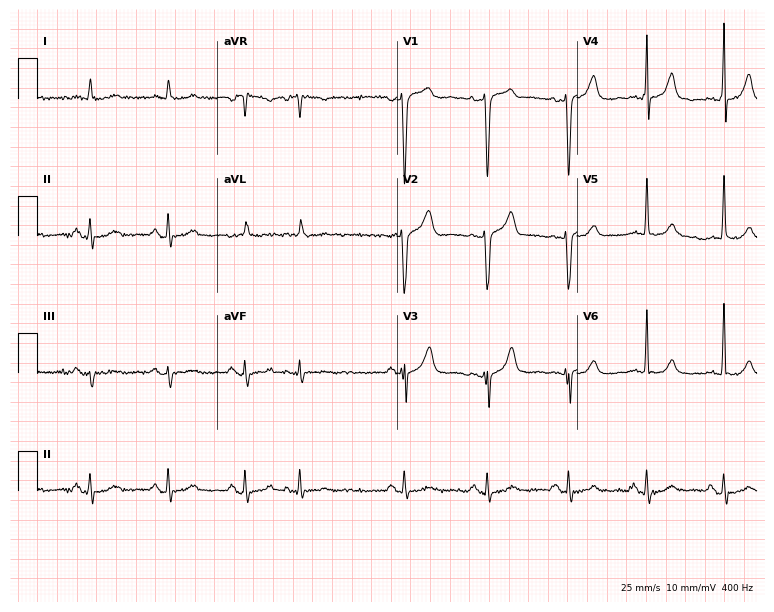
Resting 12-lead electrocardiogram. Patient: a man, 75 years old. Read as a normal ECG.